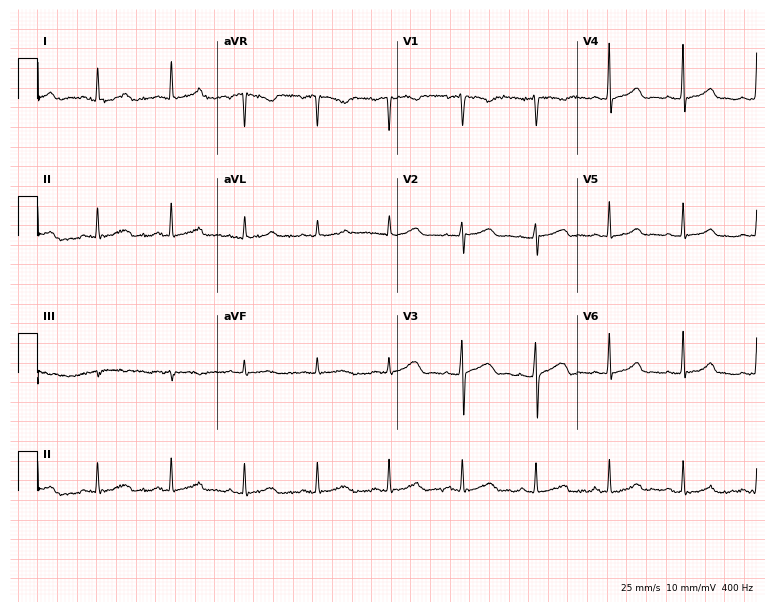
Resting 12-lead electrocardiogram. Patient: a female, 39 years old. Read as a normal ECG.